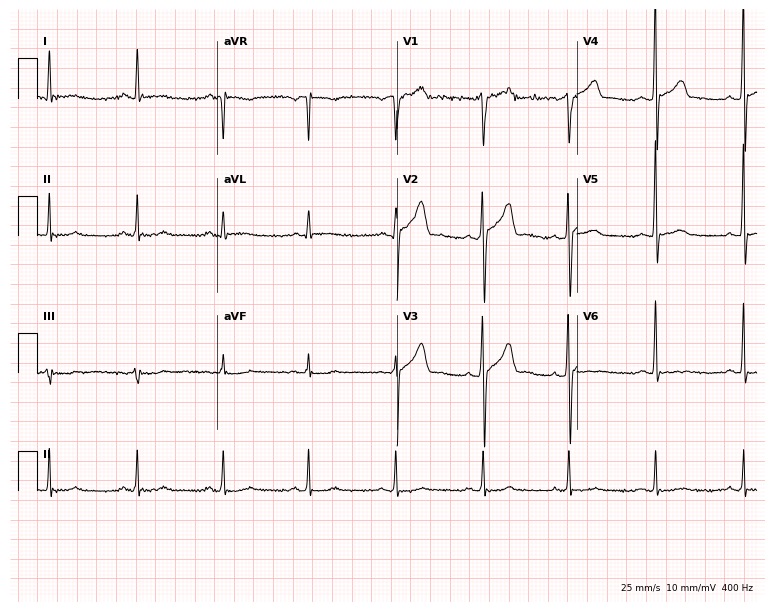
ECG (7.3-second recording at 400 Hz) — a male, 48 years old. Labelled as a normal ECG.